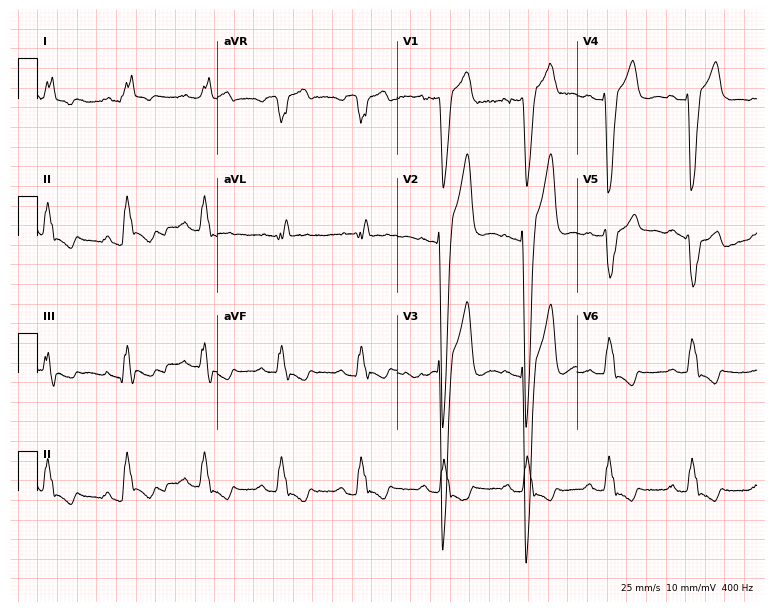
ECG (7.3-second recording at 400 Hz) — a 51-year-old man. Findings include left bundle branch block.